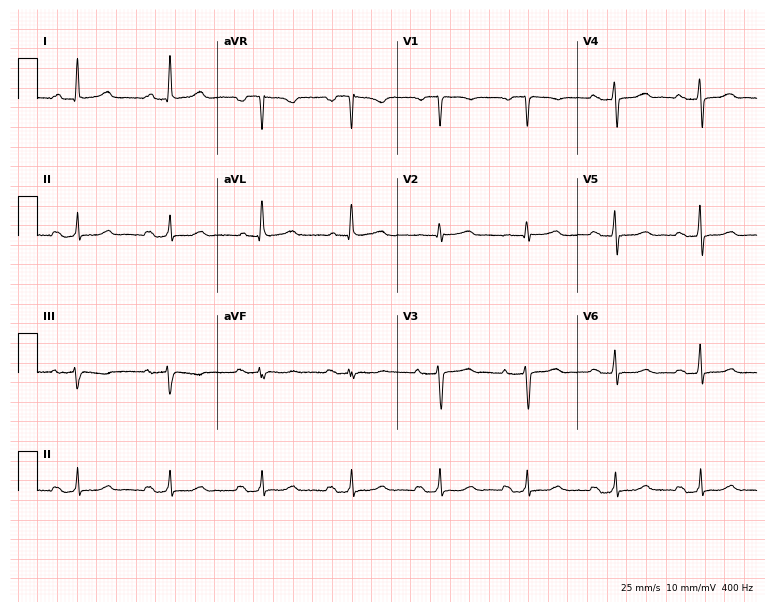
12-lead ECG from a 60-year-old female patient. Findings include first-degree AV block.